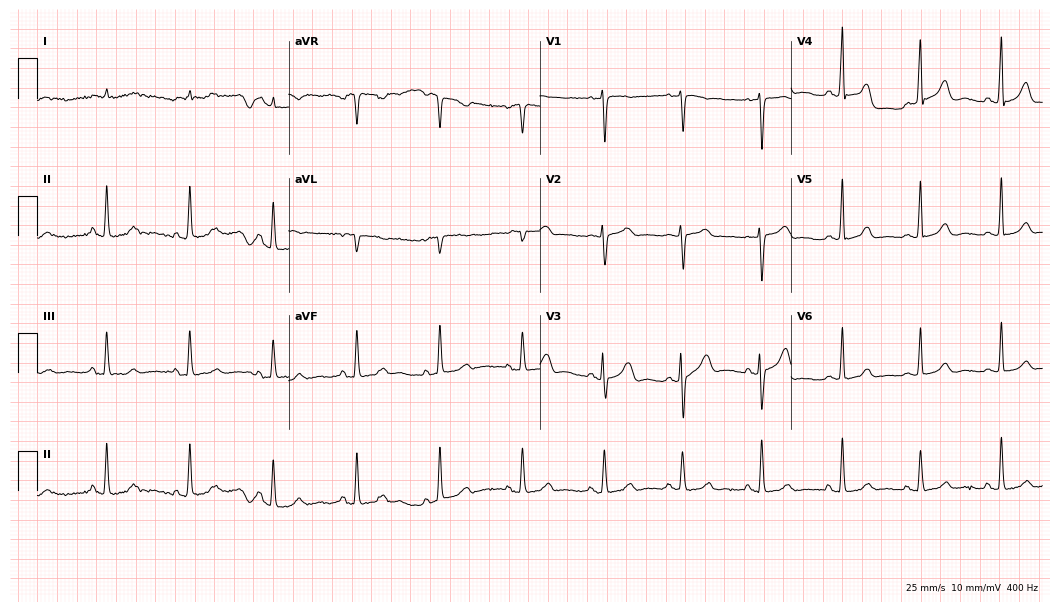
Standard 12-lead ECG recorded from a 69-year-old woman. Read as a normal ECG.